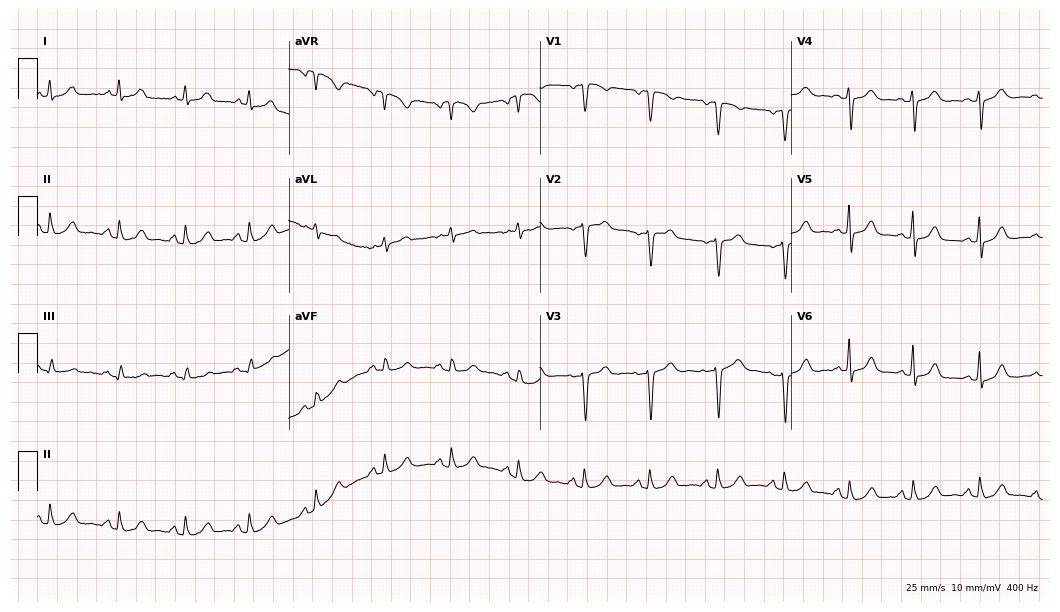
12-lead ECG from a 46-year-old woman. Labelled as a normal ECG.